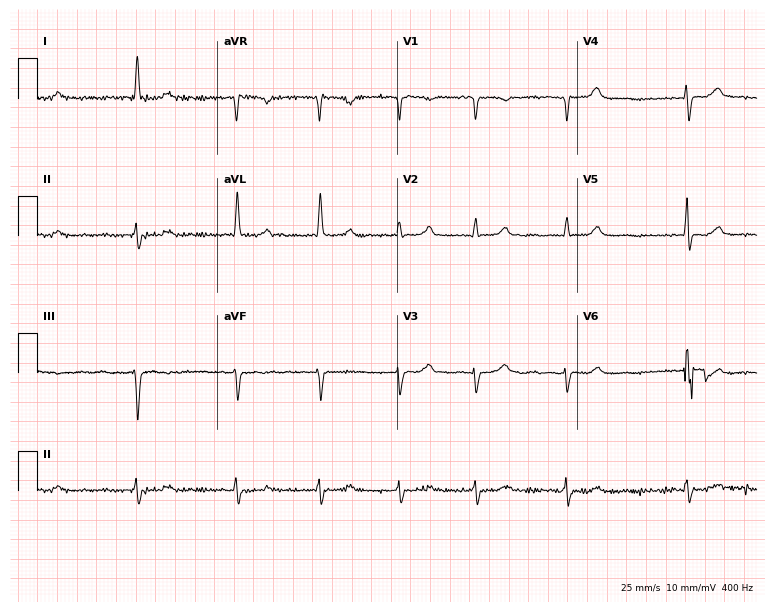
ECG — a 68-year-old woman. Labelled as a normal ECG.